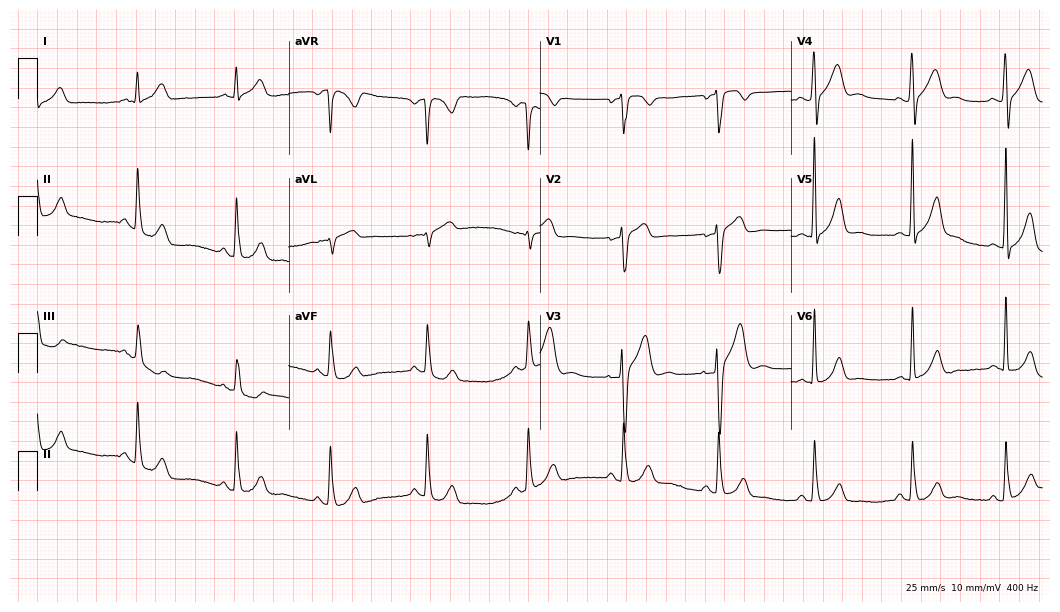
12-lead ECG (10.2-second recording at 400 Hz) from a male, 42 years old. Screened for six findings — first-degree AV block, right bundle branch block, left bundle branch block, sinus bradycardia, atrial fibrillation, sinus tachycardia — none is recorded.